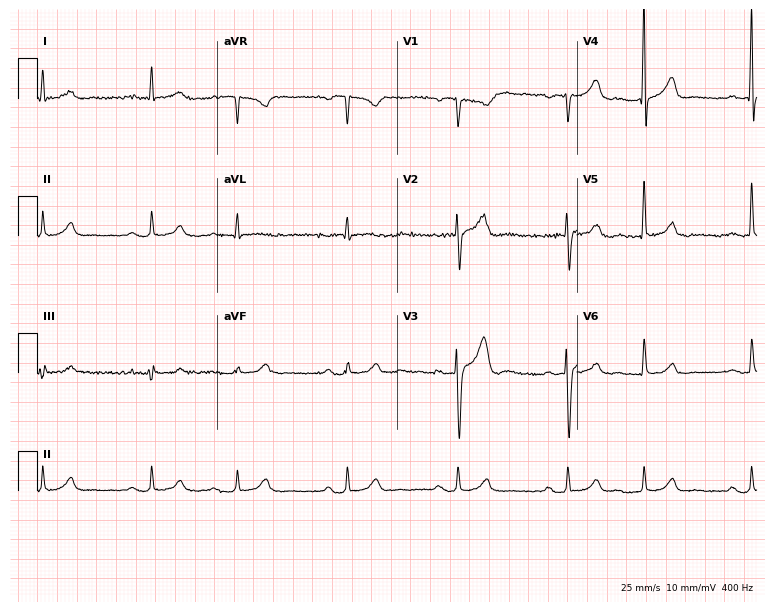
12-lead ECG (7.3-second recording at 400 Hz) from a man, 73 years old. Screened for six findings — first-degree AV block, right bundle branch block, left bundle branch block, sinus bradycardia, atrial fibrillation, sinus tachycardia — none is recorded. Only these six findings were labelled.